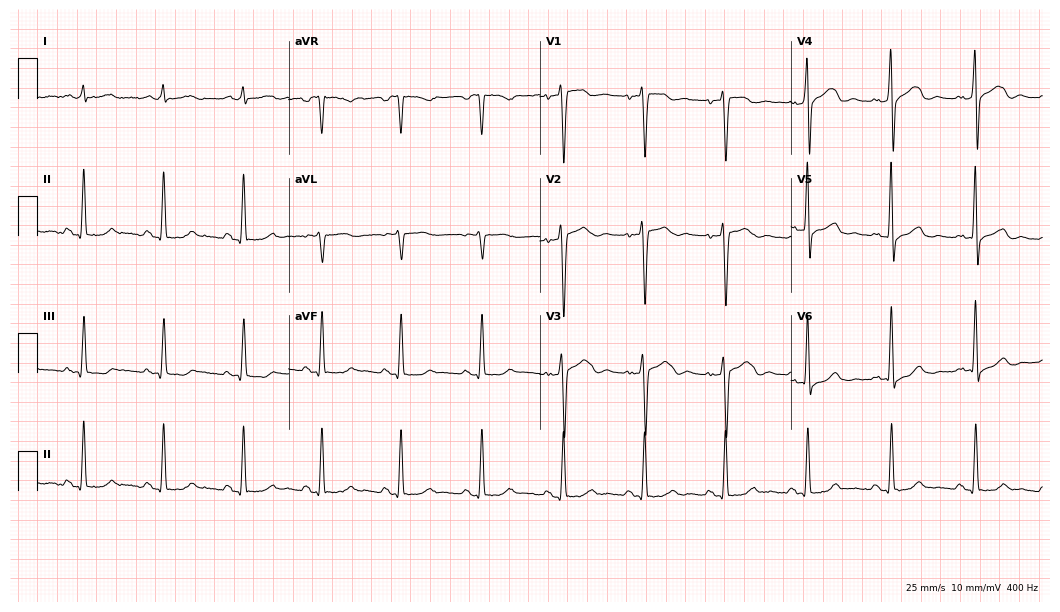
Electrocardiogram, a man, 29 years old. Of the six screened findings (first-degree AV block, right bundle branch block, left bundle branch block, sinus bradycardia, atrial fibrillation, sinus tachycardia), none is recorded. Other findings, if any, are not listed.